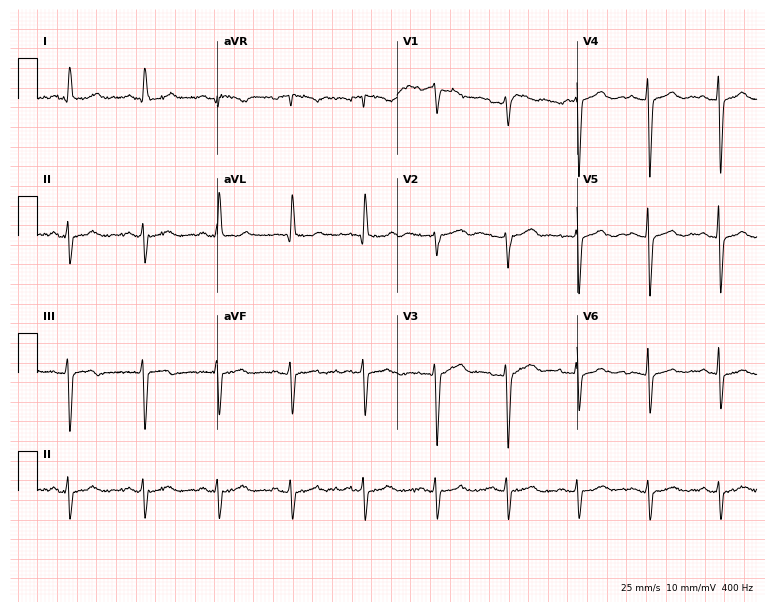
12-lead ECG from a female patient, 71 years old (7.3-second recording at 400 Hz). No first-degree AV block, right bundle branch block (RBBB), left bundle branch block (LBBB), sinus bradycardia, atrial fibrillation (AF) or sinus tachycardia recorded for this tracing.